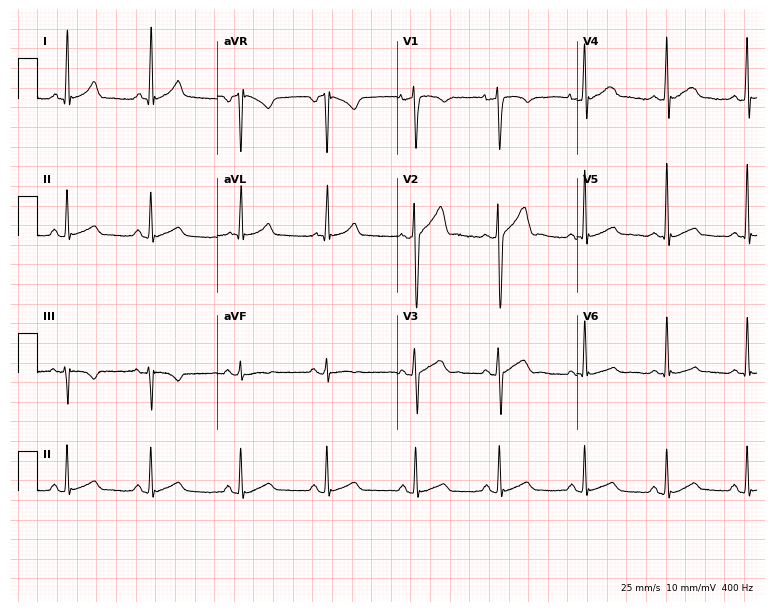
ECG (7.3-second recording at 400 Hz) — a 28-year-old male. Labelled as a normal ECG.